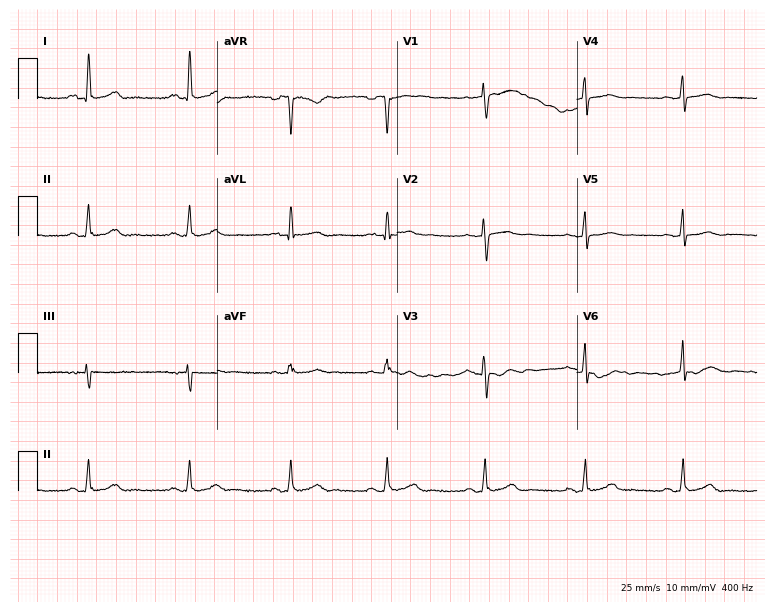
12-lead ECG from a woman, 37 years old (7.3-second recording at 400 Hz). Recorded interpretation: within normal limits.